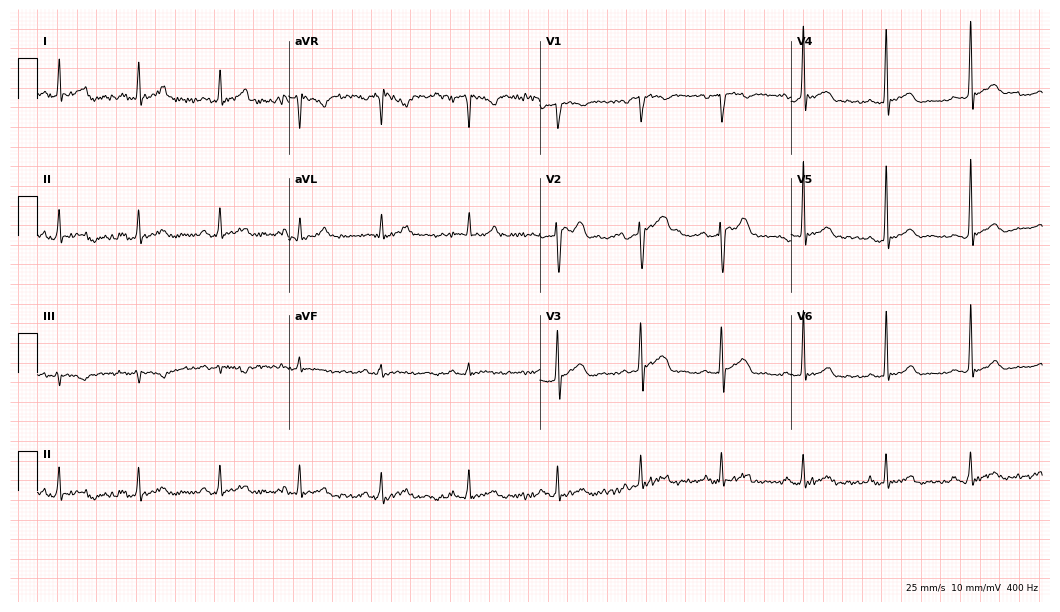
Electrocardiogram, a 31-year-old man. Of the six screened findings (first-degree AV block, right bundle branch block (RBBB), left bundle branch block (LBBB), sinus bradycardia, atrial fibrillation (AF), sinus tachycardia), none is recorded.